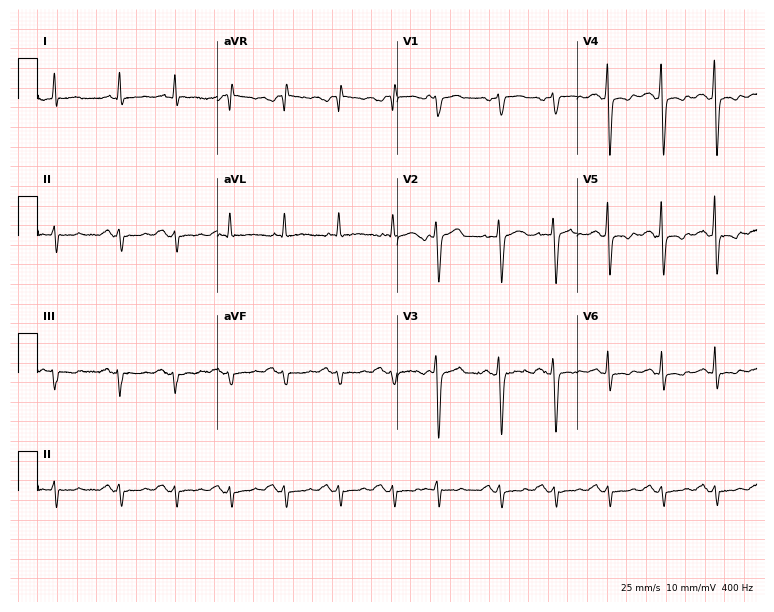
ECG (7.3-second recording at 400 Hz) — a 68-year-old man. Findings include sinus tachycardia (a sinus rate of 100 beats per minute or more).